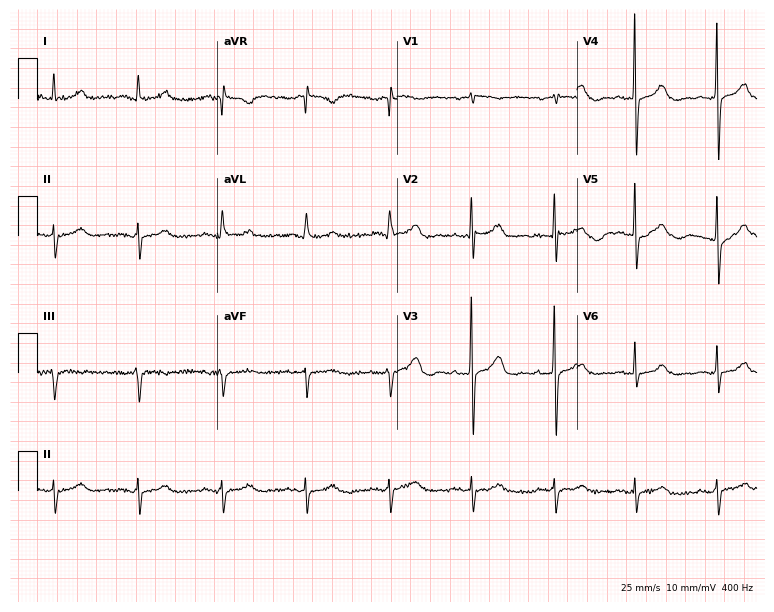
12-lead ECG from a female patient, 68 years old. No first-degree AV block, right bundle branch block, left bundle branch block, sinus bradycardia, atrial fibrillation or sinus tachycardia recorded for this tracing. Only these six findings were labelled.